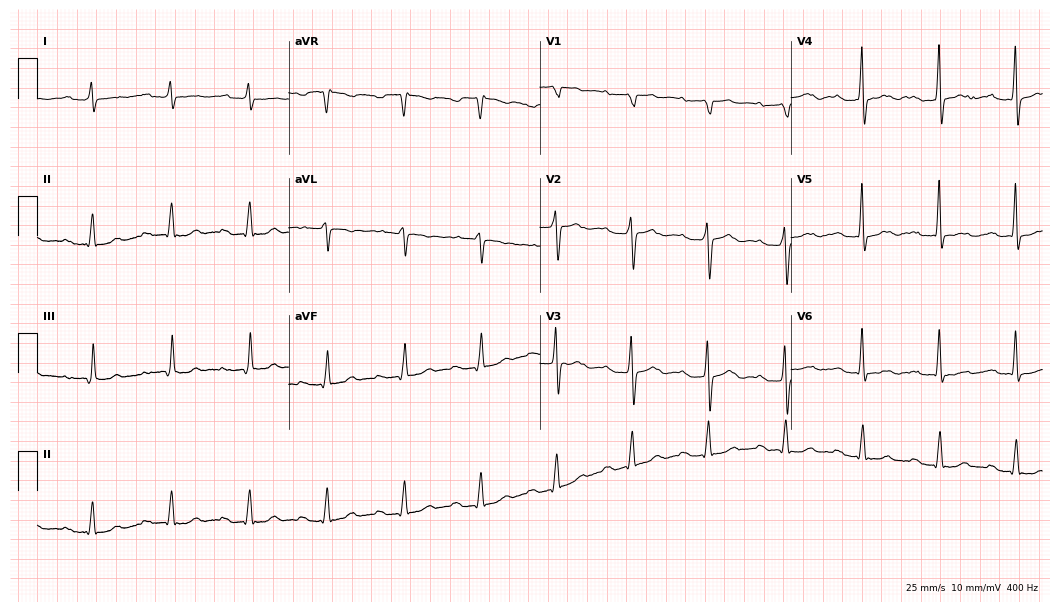
Electrocardiogram (10.2-second recording at 400 Hz), an 80-year-old man. Of the six screened findings (first-degree AV block, right bundle branch block (RBBB), left bundle branch block (LBBB), sinus bradycardia, atrial fibrillation (AF), sinus tachycardia), none is recorded.